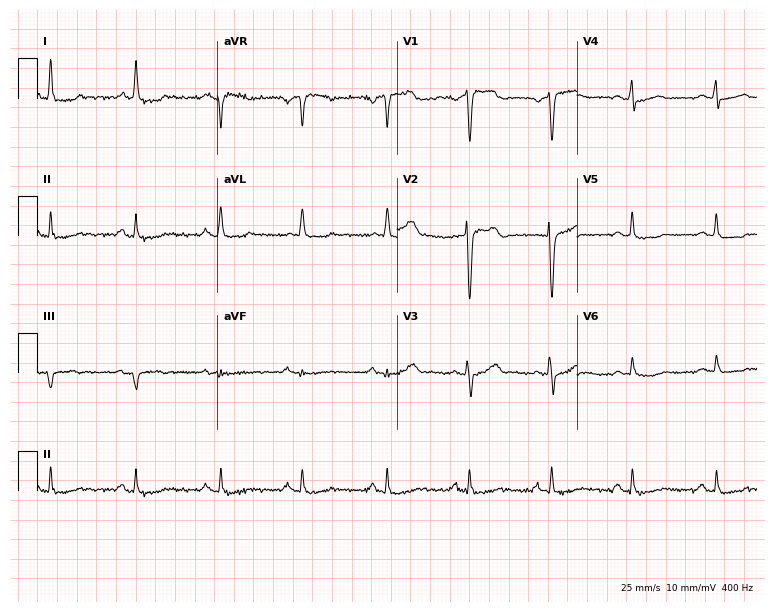
ECG — a man, 62 years old. Screened for six findings — first-degree AV block, right bundle branch block (RBBB), left bundle branch block (LBBB), sinus bradycardia, atrial fibrillation (AF), sinus tachycardia — none is recorded. Only these six findings were labelled.